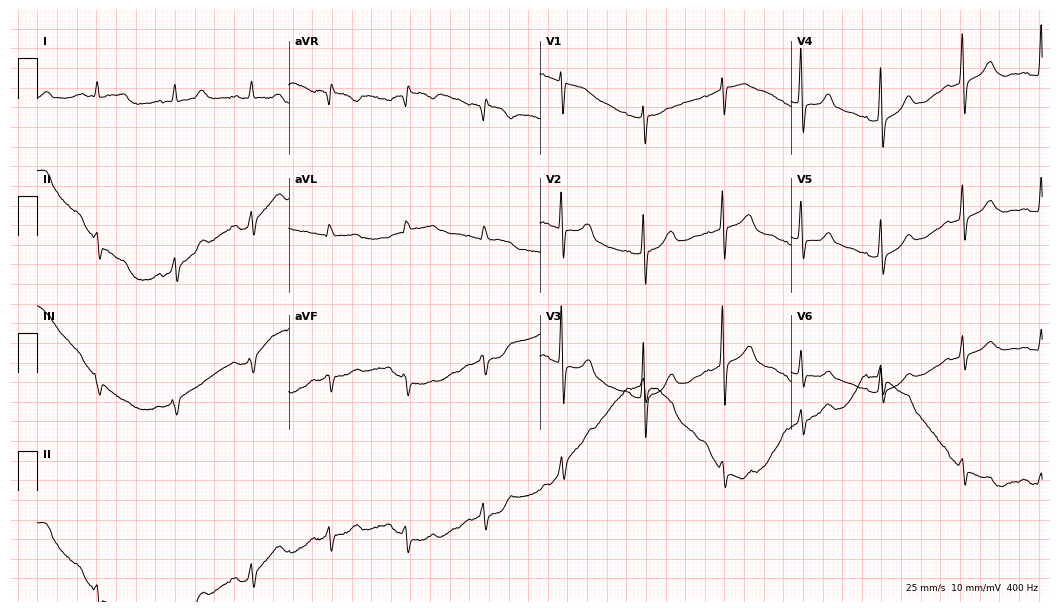
ECG (10.2-second recording at 400 Hz) — an 84-year-old female patient. Labelled as a normal ECG.